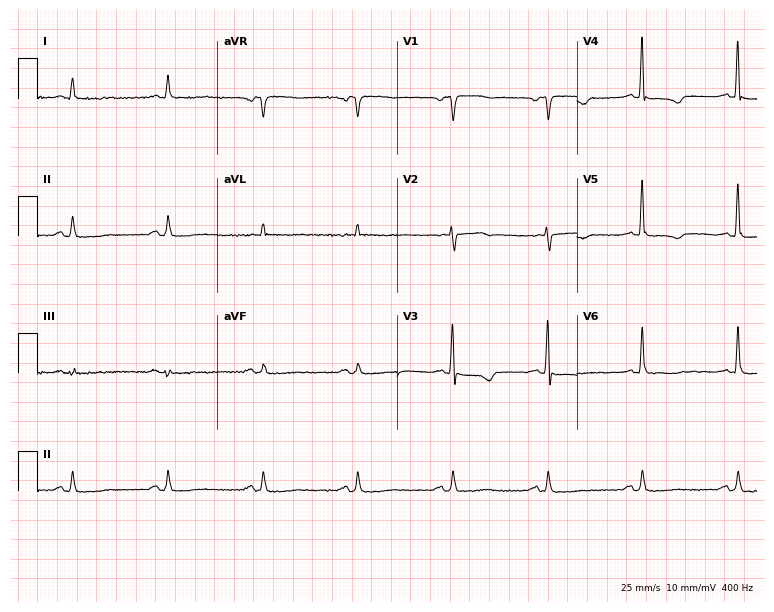
Standard 12-lead ECG recorded from a male patient, 71 years old. None of these six findings is recorded: first-degree AV block, right bundle branch block, left bundle branch block, sinus bradycardia, atrial fibrillation, sinus tachycardia. Findings outside these six are not listed.